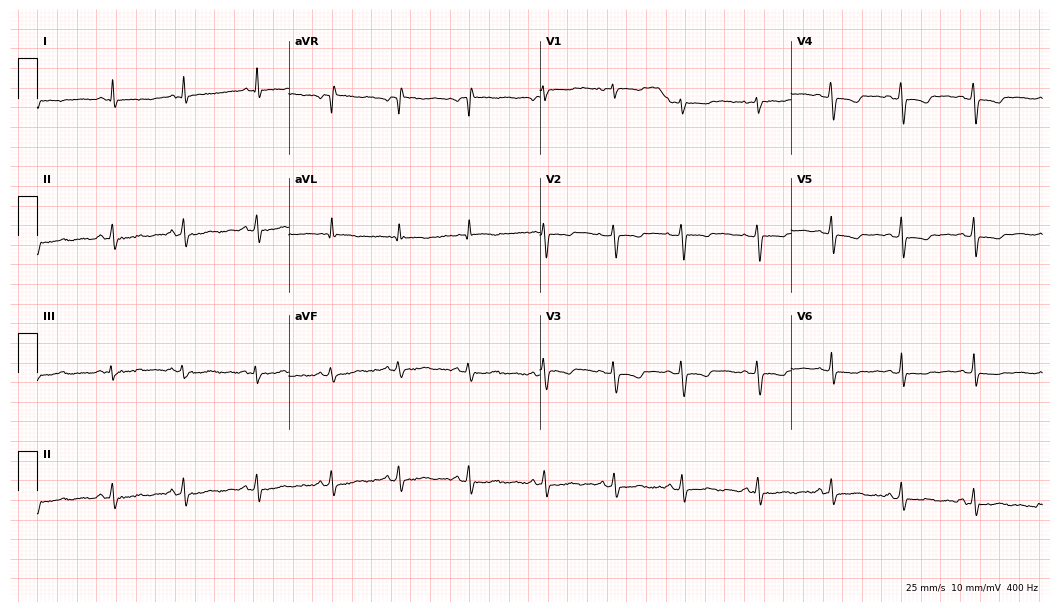
Electrocardiogram (10.2-second recording at 400 Hz), a 36-year-old female patient. Of the six screened findings (first-degree AV block, right bundle branch block (RBBB), left bundle branch block (LBBB), sinus bradycardia, atrial fibrillation (AF), sinus tachycardia), none is recorded. Other findings, if any, are not listed.